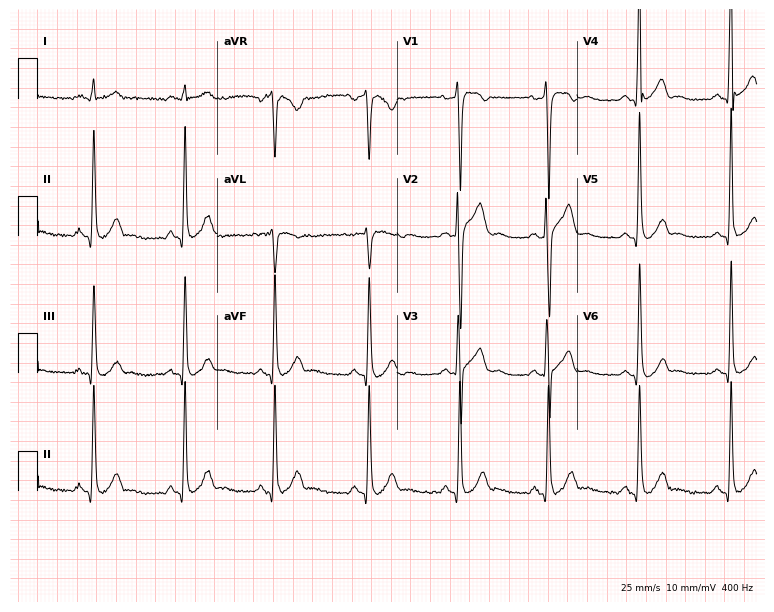
ECG (7.3-second recording at 400 Hz) — a 27-year-old male patient. Screened for six findings — first-degree AV block, right bundle branch block, left bundle branch block, sinus bradycardia, atrial fibrillation, sinus tachycardia — none is recorded.